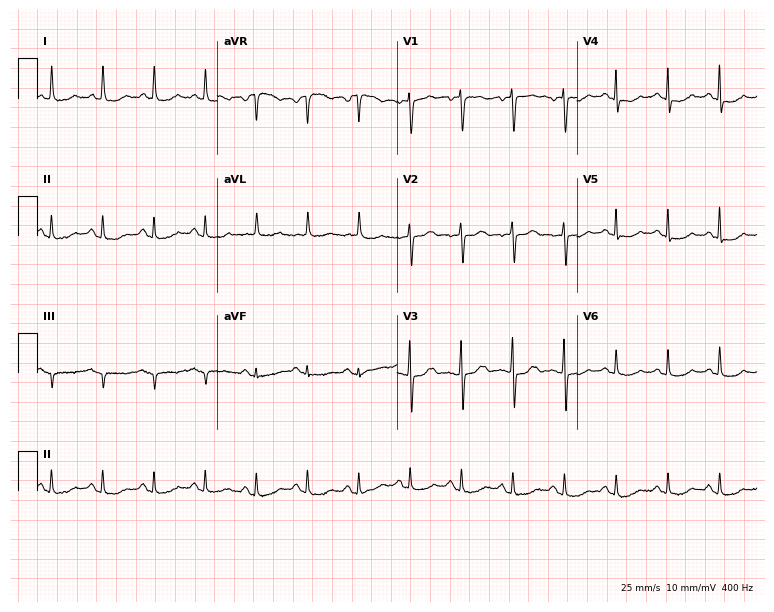
Electrocardiogram, a woman, 79 years old. Interpretation includes sinus tachycardia (a sinus rate of 100 beats per minute or more).